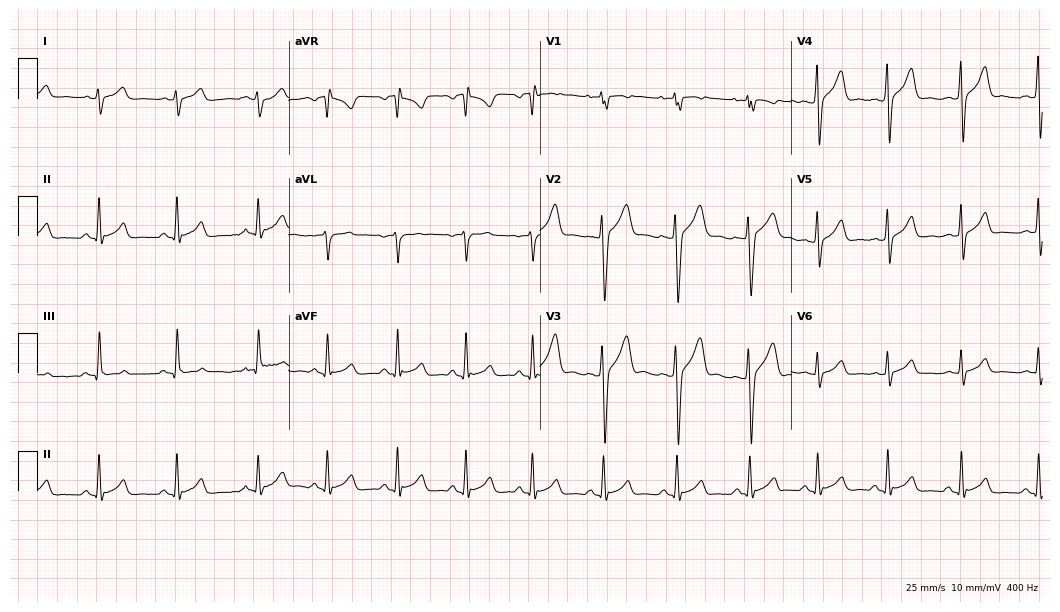
12-lead ECG (10.2-second recording at 400 Hz) from an 18-year-old male. Screened for six findings — first-degree AV block, right bundle branch block, left bundle branch block, sinus bradycardia, atrial fibrillation, sinus tachycardia — none is recorded. Only these six findings were labelled.